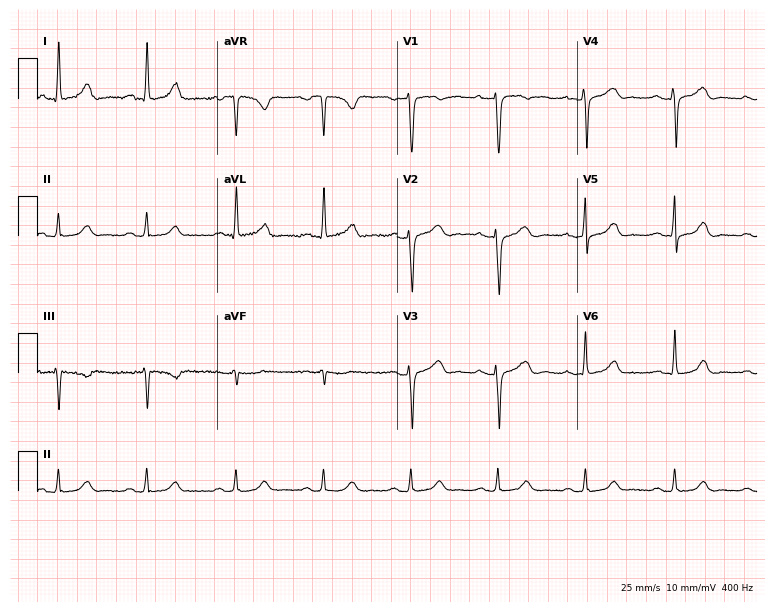
ECG (7.3-second recording at 400 Hz) — a 41-year-old female patient. Screened for six findings — first-degree AV block, right bundle branch block (RBBB), left bundle branch block (LBBB), sinus bradycardia, atrial fibrillation (AF), sinus tachycardia — none is recorded.